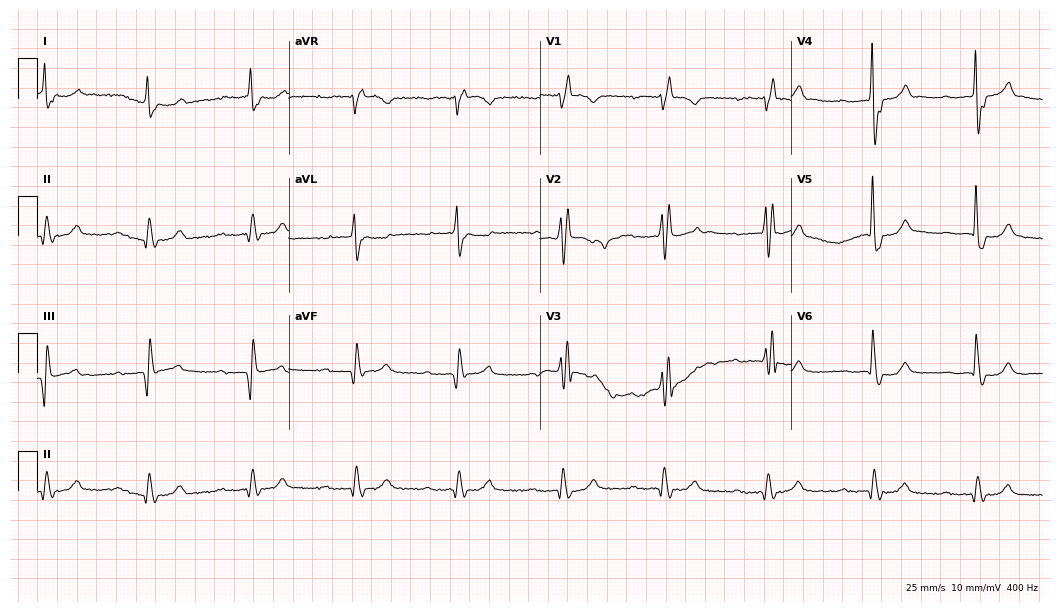
ECG — an 82-year-old male. Findings include first-degree AV block, right bundle branch block.